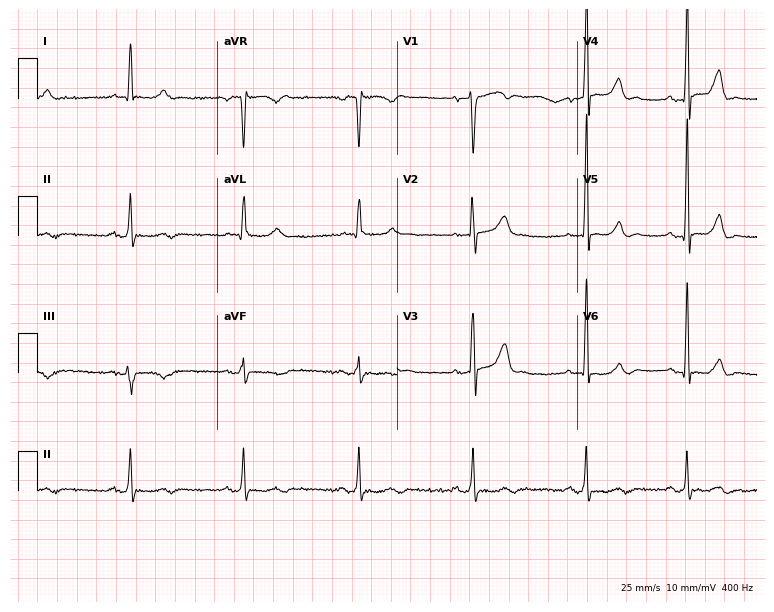
Resting 12-lead electrocardiogram. Patient: a male, 57 years old. None of these six findings is recorded: first-degree AV block, right bundle branch block, left bundle branch block, sinus bradycardia, atrial fibrillation, sinus tachycardia. Findings outside these six are not listed.